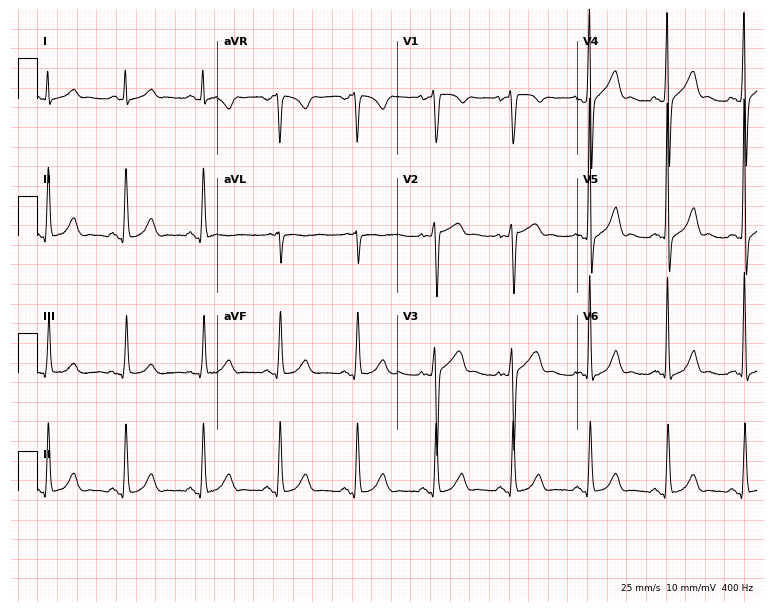
12-lead ECG from a 68-year-old male patient. Labelled as a normal ECG.